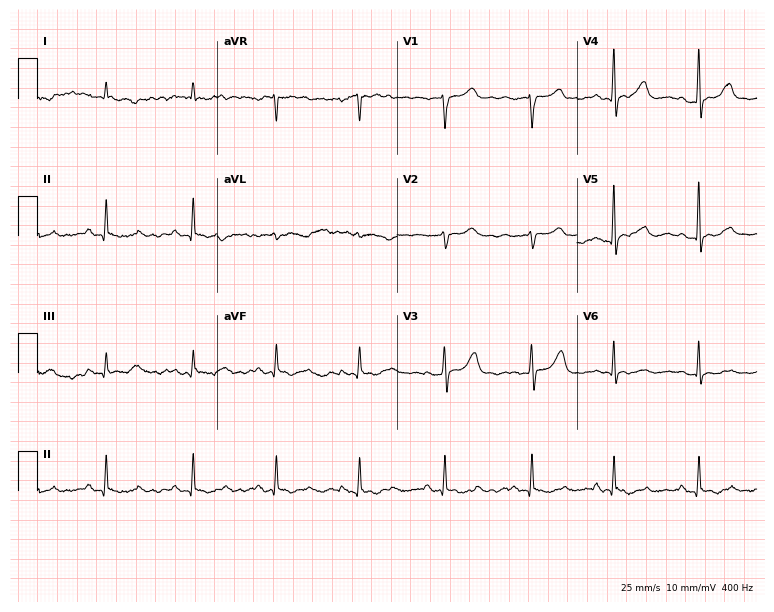
Standard 12-lead ECG recorded from a male patient, 66 years old (7.3-second recording at 400 Hz). None of these six findings is recorded: first-degree AV block, right bundle branch block, left bundle branch block, sinus bradycardia, atrial fibrillation, sinus tachycardia. Only these six findings were labelled.